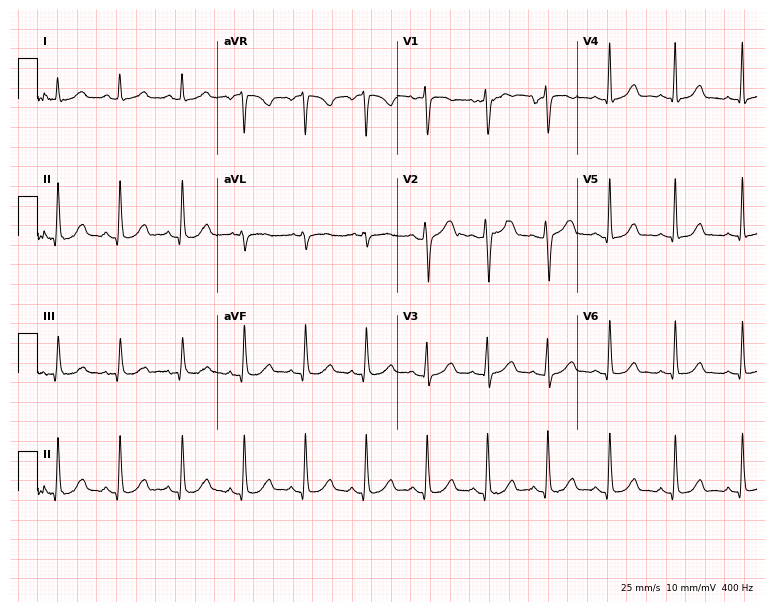
Electrocardiogram, a 32-year-old female patient. Overall reading on record: normal ECG.